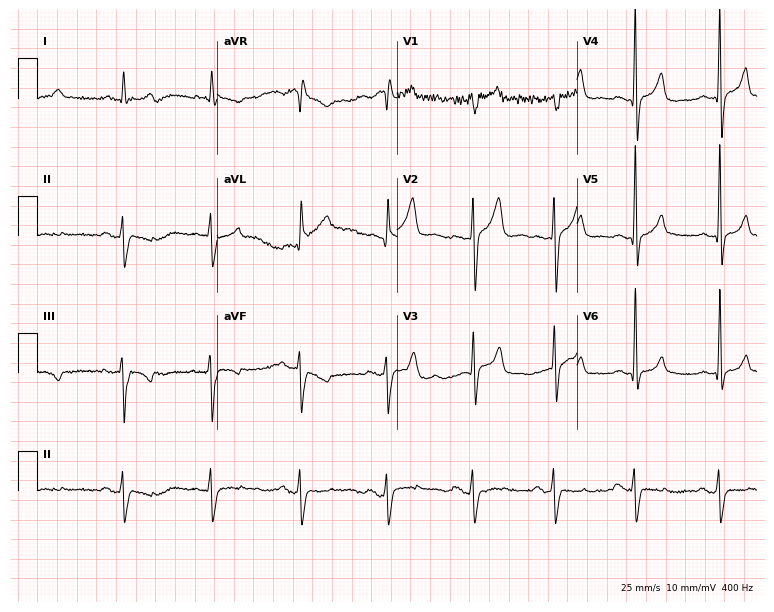
Electrocardiogram, a 45-year-old man. Of the six screened findings (first-degree AV block, right bundle branch block (RBBB), left bundle branch block (LBBB), sinus bradycardia, atrial fibrillation (AF), sinus tachycardia), none is recorded.